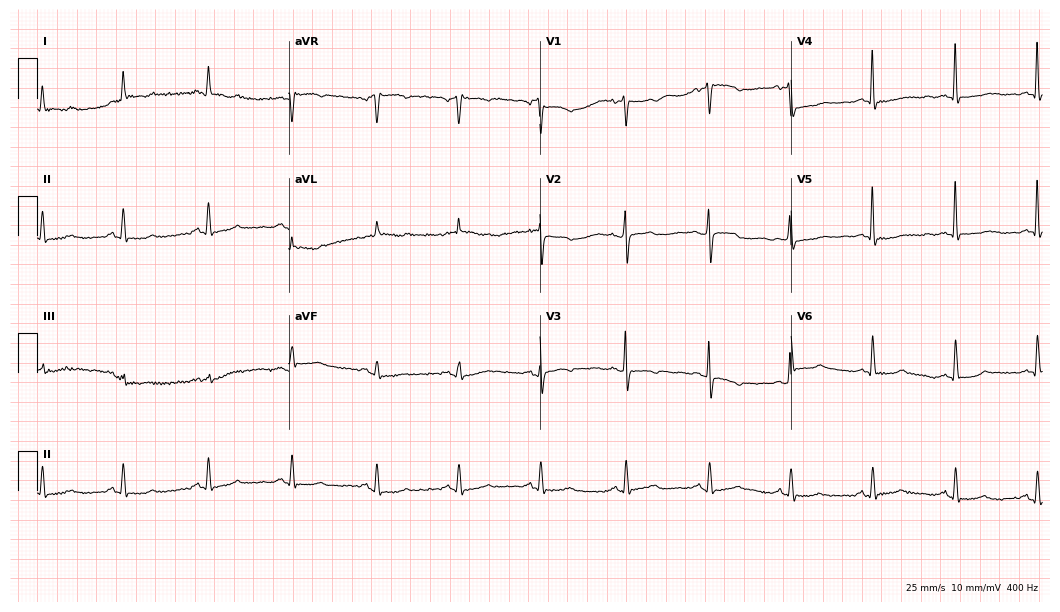
Standard 12-lead ECG recorded from a 72-year-old male patient. None of these six findings is recorded: first-degree AV block, right bundle branch block, left bundle branch block, sinus bradycardia, atrial fibrillation, sinus tachycardia.